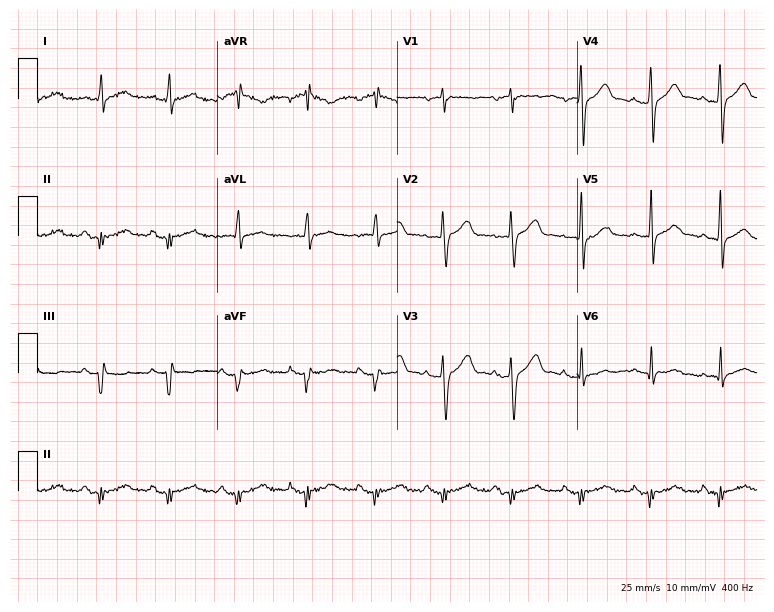
Standard 12-lead ECG recorded from a man, 47 years old. None of these six findings is recorded: first-degree AV block, right bundle branch block, left bundle branch block, sinus bradycardia, atrial fibrillation, sinus tachycardia.